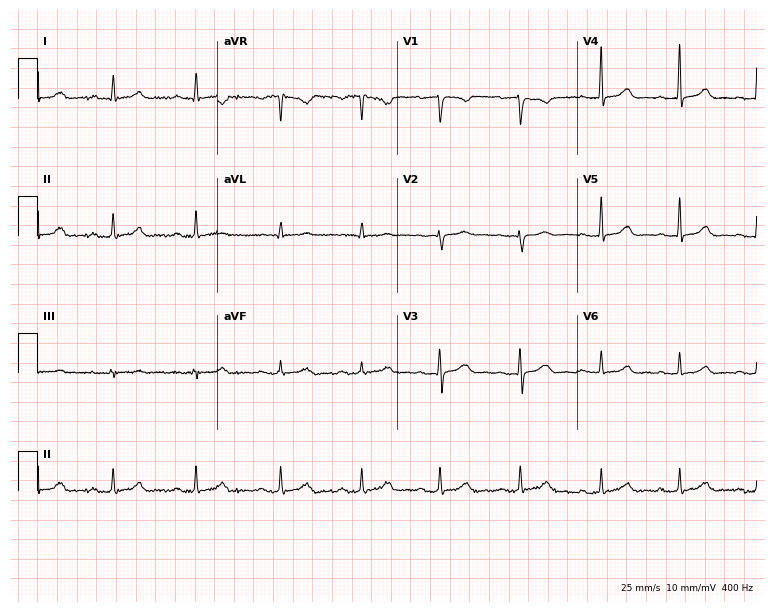
Resting 12-lead electrocardiogram. Patient: a 42-year-old female. Read as a normal ECG.